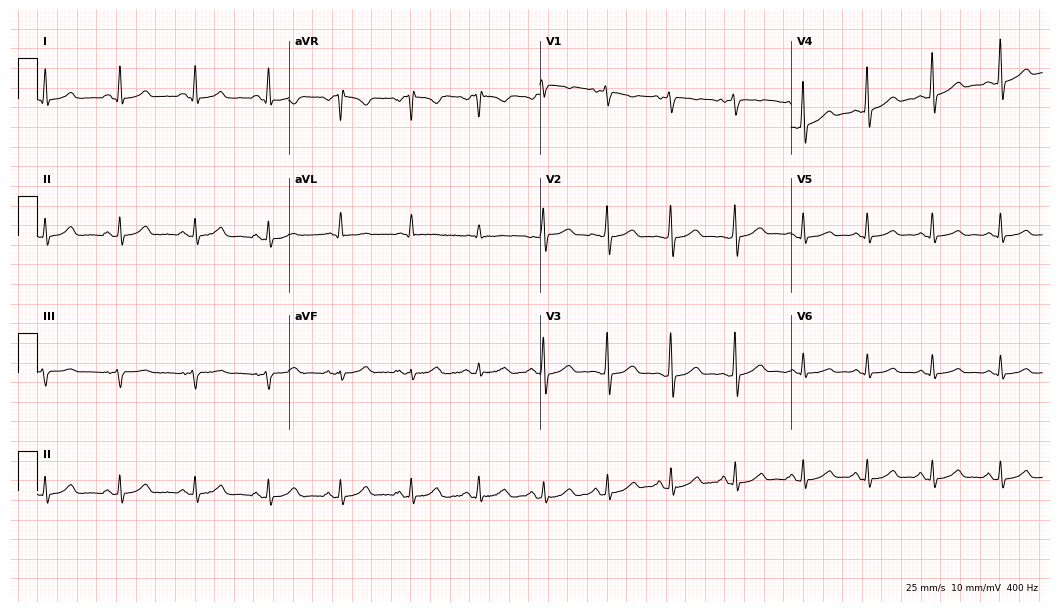
Standard 12-lead ECG recorded from a 41-year-old female. Read as a normal ECG.